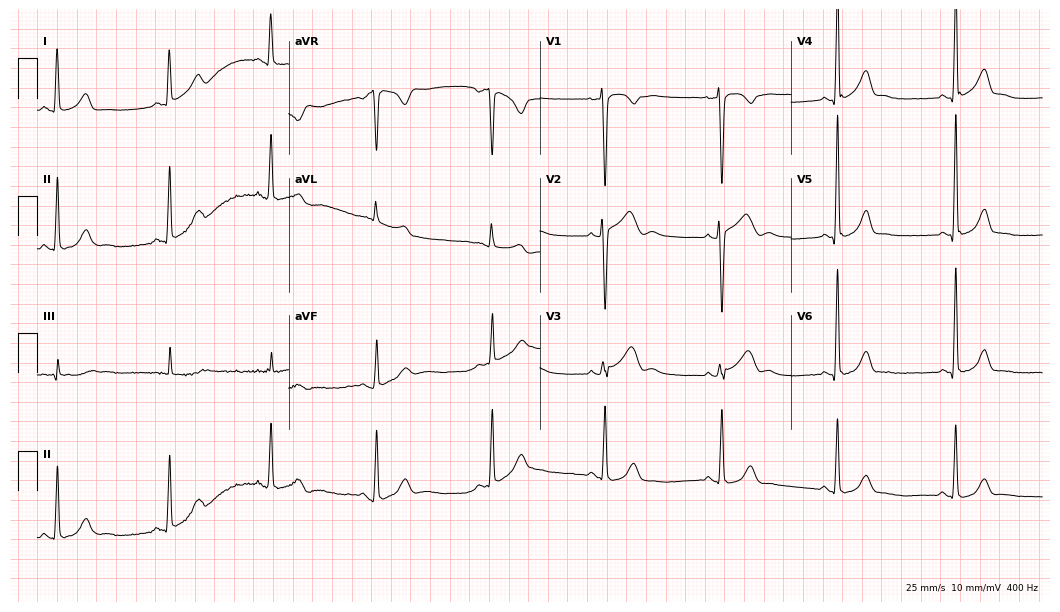
Resting 12-lead electrocardiogram. Patient: a 36-year-old female. None of these six findings is recorded: first-degree AV block, right bundle branch block, left bundle branch block, sinus bradycardia, atrial fibrillation, sinus tachycardia. Only these six findings were labelled.